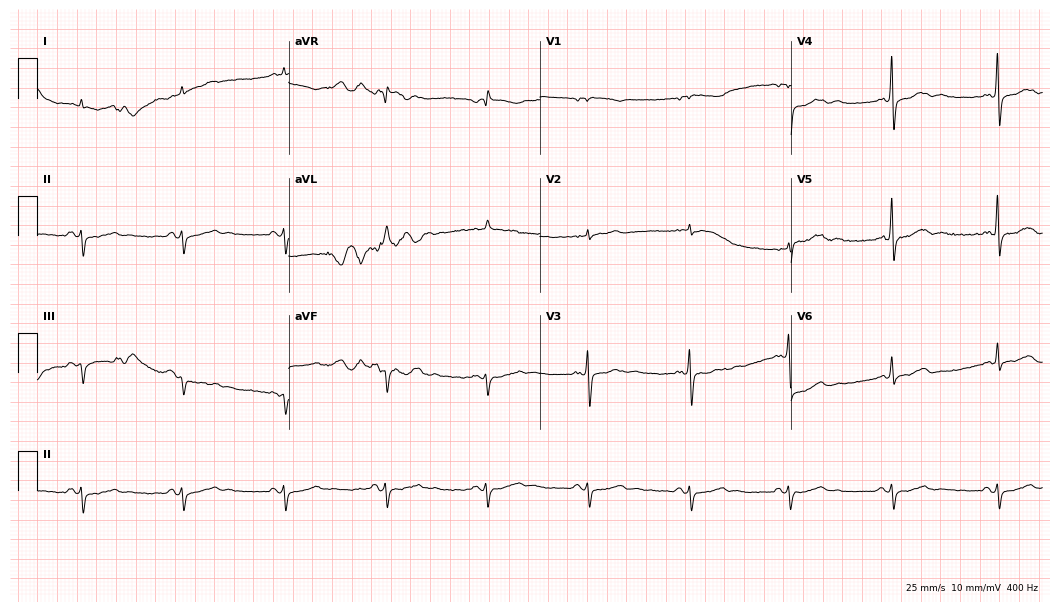
Resting 12-lead electrocardiogram. Patient: a 66-year-old male. None of these six findings is recorded: first-degree AV block, right bundle branch block, left bundle branch block, sinus bradycardia, atrial fibrillation, sinus tachycardia. Findings outside these six are not listed.